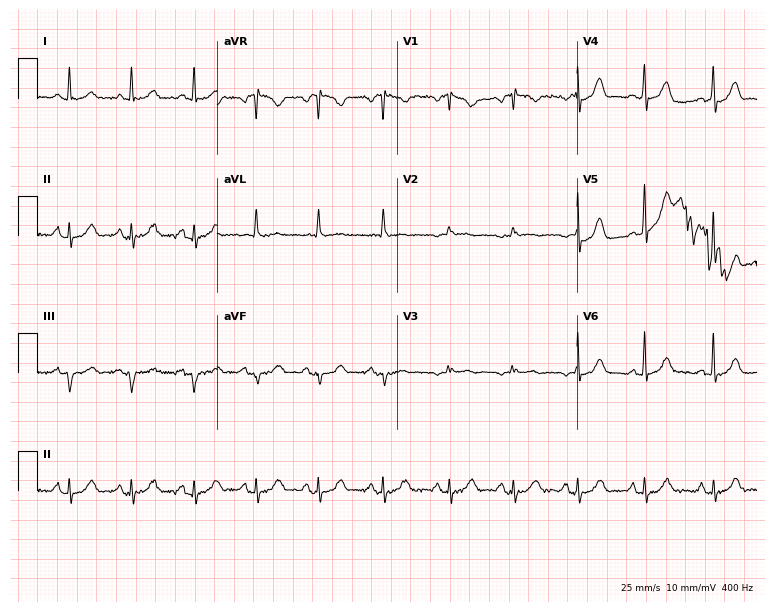
12-lead ECG from a female patient, 61 years old. Screened for six findings — first-degree AV block, right bundle branch block, left bundle branch block, sinus bradycardia, atrial fibrillation, sinus tachycardia — none is recorded.